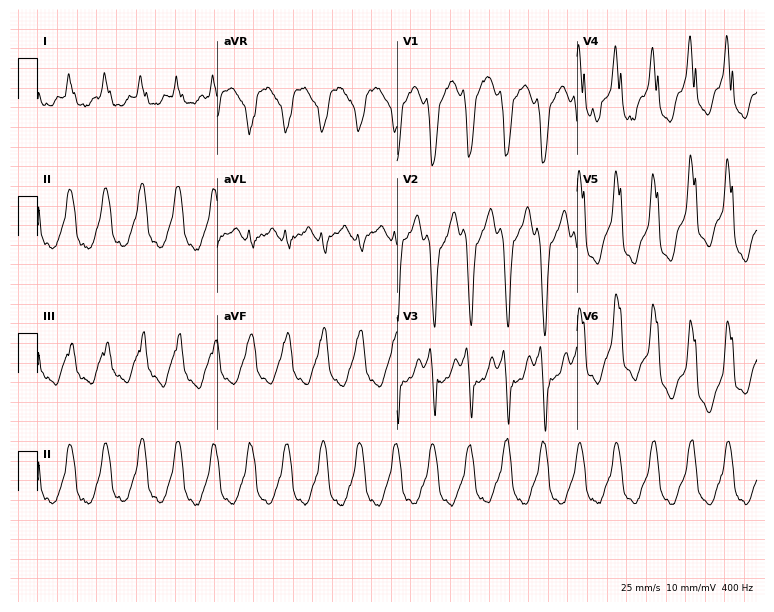
12-lead ECG from a male patient, 78 years old. Findings include sinus tachycardia (a sinus rate of 100 beats per minute or more).